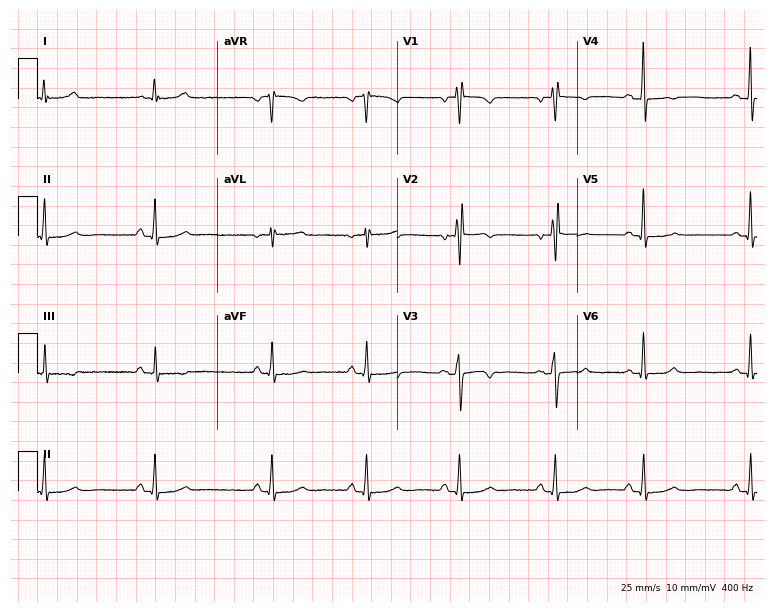
ECG (7.3-second recording at 400 Hz) — a female patient, 56 years old. Screened for six findings — first-degree AV block, right bundle branch block (RBBB), left bundle branch block (LBBB), sinus bradycardia, atrial fibrillation (AF), sinus tachycardia — none is recorded. Only these six findings were labelled.